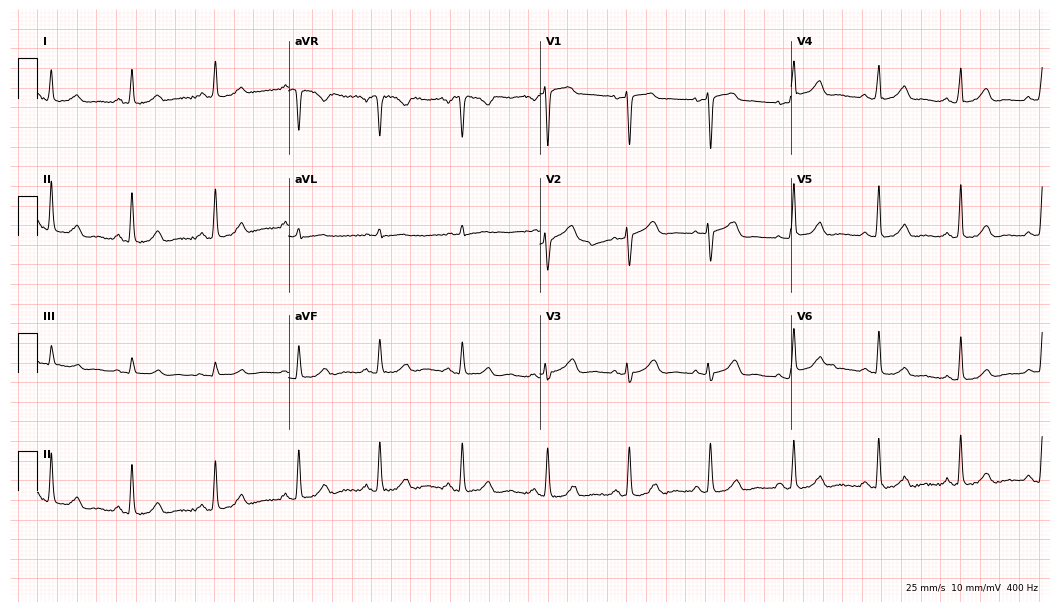
Electrocardiogram (10.2-second recording at 400 Hz), a 62-year-old female. Overall reading on record: normal ECG.